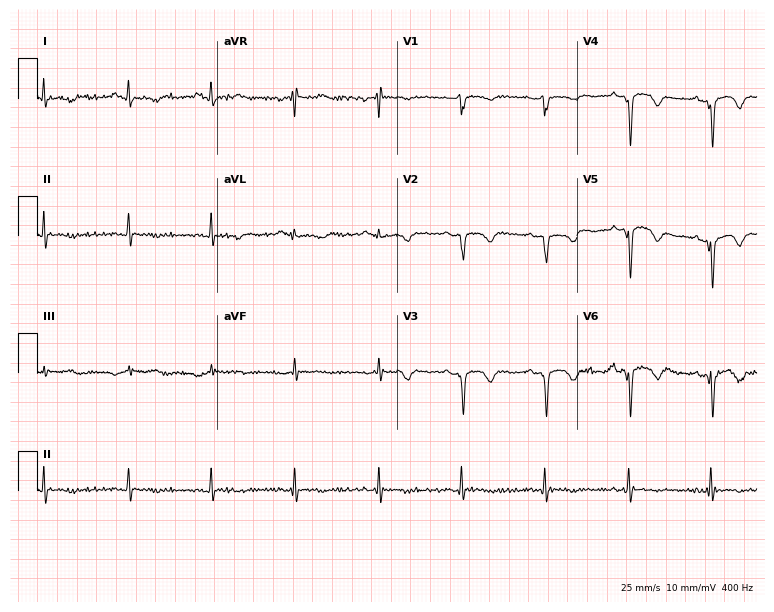
Standard 12-lead ECG recorded from a 67-year-old woman (7.3-second recording at 400 Hz). None of these six findings is recorded: first-degree AV block, right bundle branch block (RBBB), left bundle branch block (LBBB), sinus bradycardia, atrial fibrillation (AF), sinus tachycardia.